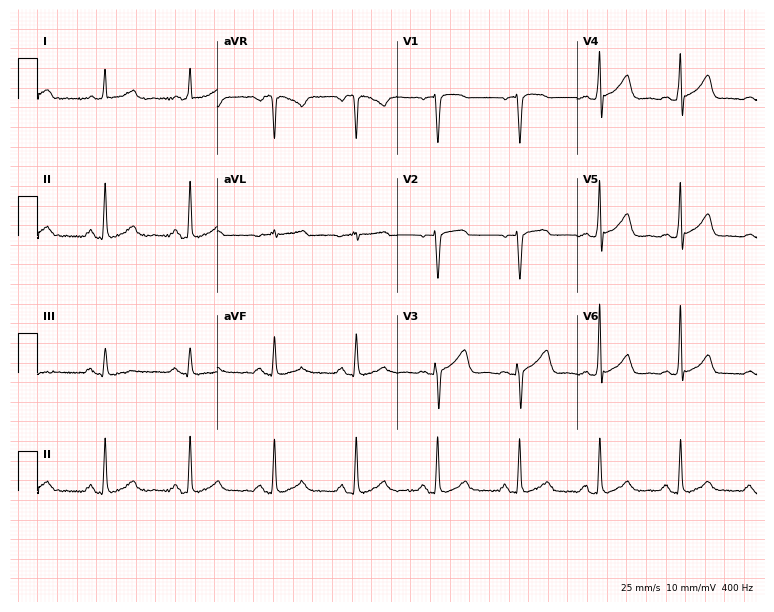
ECG (7.3-second recording at 400 Hz) — a female patient, 60 years old. Labelled as a normal ECG.